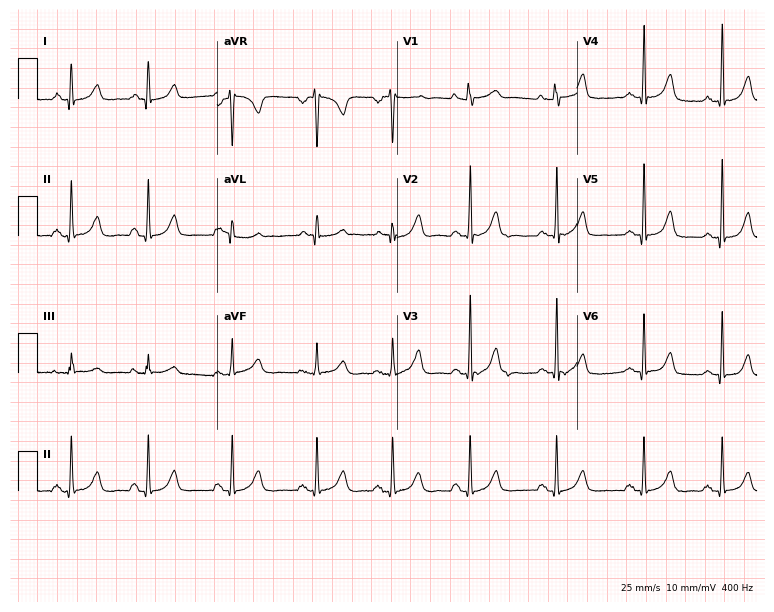
12-lead ECG from a woman, 21 years old (7.3-second recording at 400 Hz). Recorded interpretation: within normal limits.